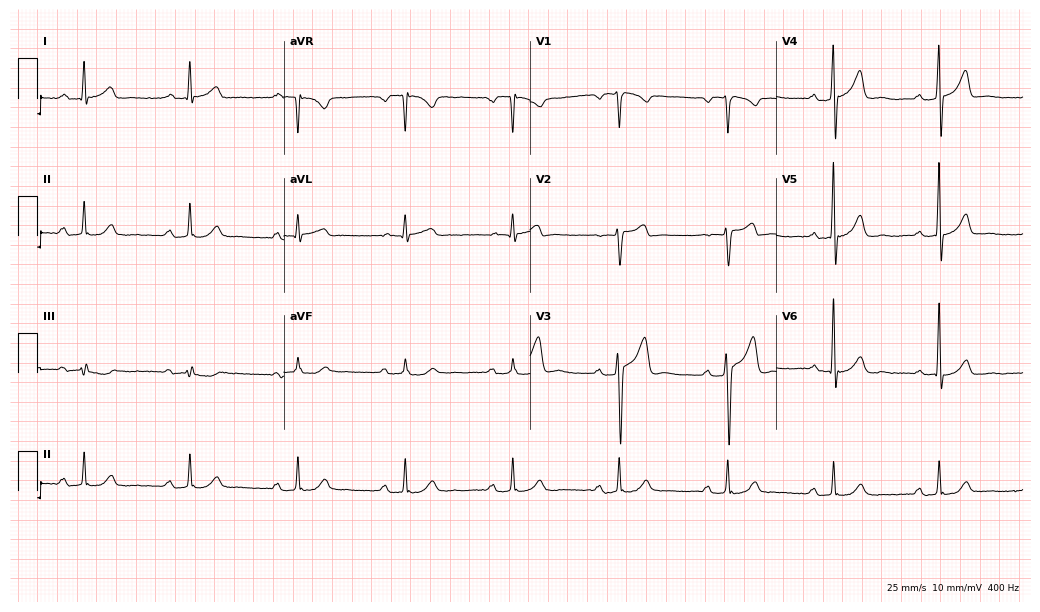
12-lead ECG from a man, 48 years old. Shows first-degree AV block.